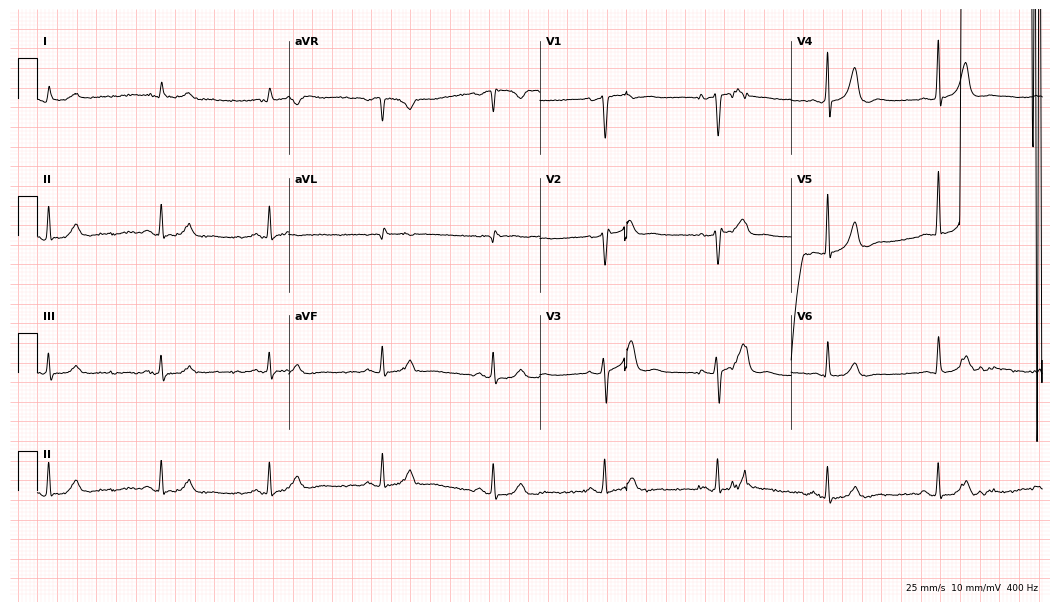
12-lead ECG (10.2-second recording at 400 Hz) from a male, 72 years old. Screened for six findings — first-degree AV block, right bundle branch block, left bundle branch block, sinus bradycardia, atrial fibrillation, sinus tachycardia — none is recorded.